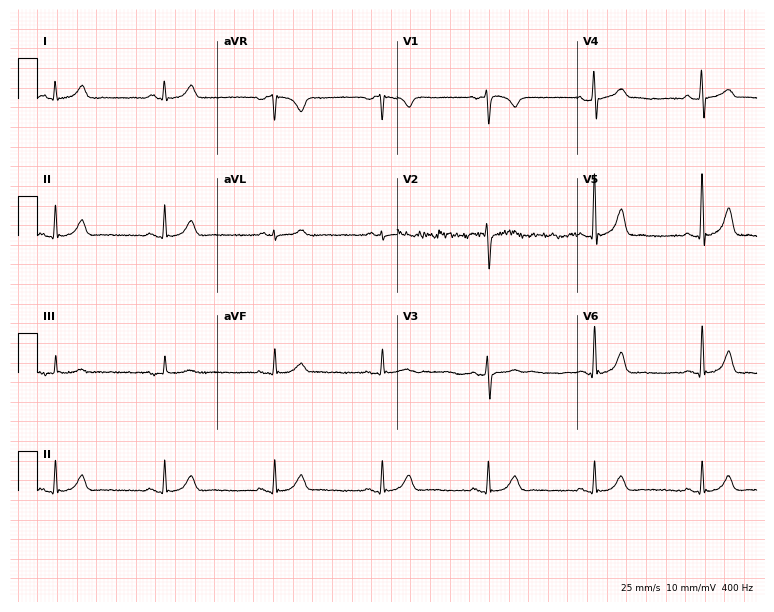
12-lead ECG from a male patient, 48 years old. No first-degree AV block, right bundle branch block, left bundle branch block, sinus bradycardia, atrial fibrillation or sinus tachycardia recorded for this tracing. Findings outside these six are not listed.